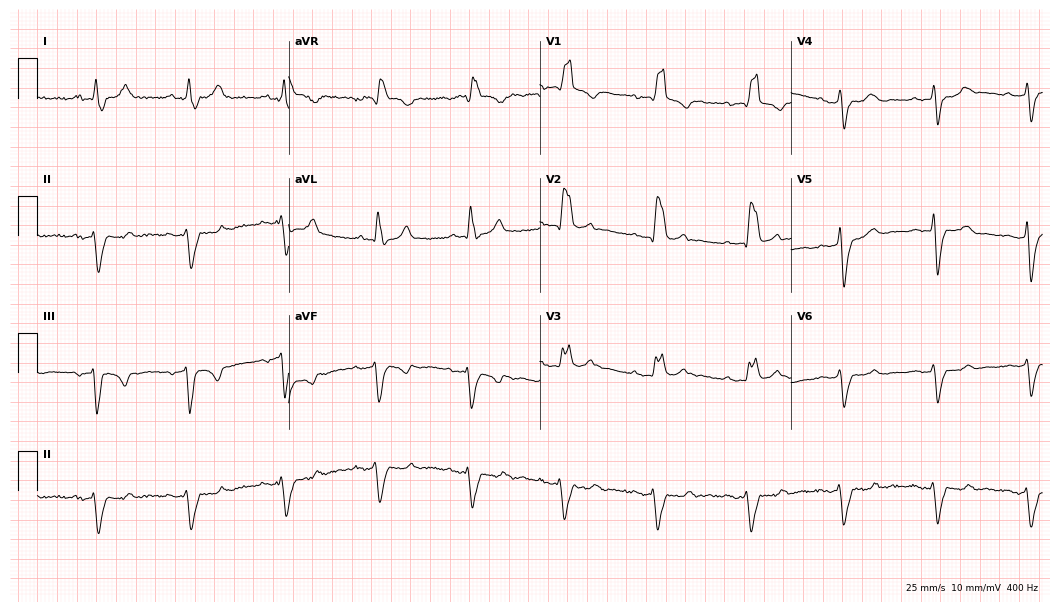
12-lead ECG from a male, 76 years old. Findings include right bundle branch block.